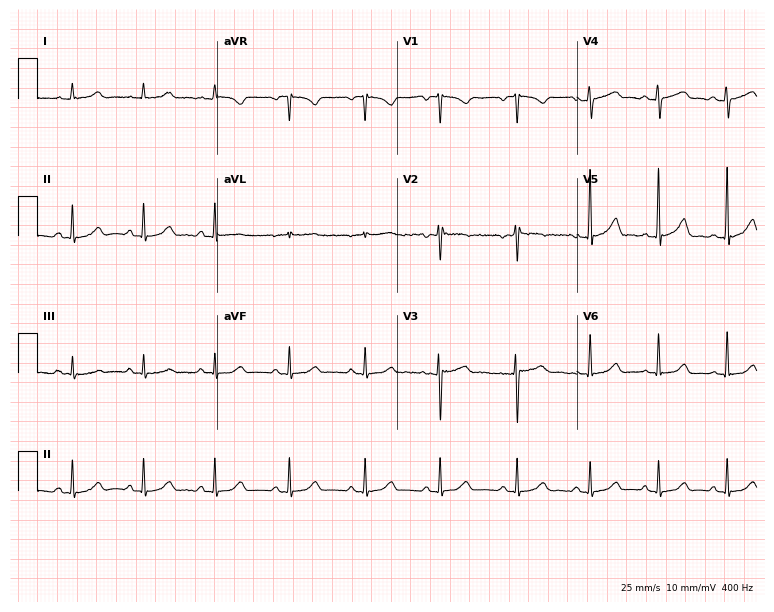
12-lead ECG (7.3-second recording at 400 Hz) from a female patient, 27 years old. Screened for six findings — first-degree AV block, right bundle branch block (RBBB), left bundle branch block (LBBB), sinus bradycardia, atrial fibrillation (AF), sinus tachycardia — none is recorded.